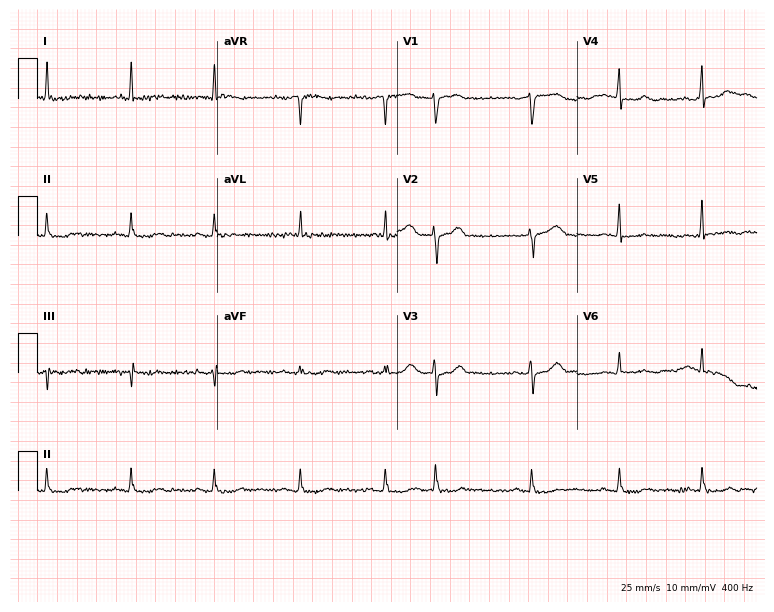
Resting 12-lead electrocardiogram (7.3-second recording at 400 Hz). Patient: a female, 82 years old. None of these six findings is recorded: first-degree AV block, right bundle branch block, left bundle branch block, sinus bradycardia, atrial fibrillation, sinus tachycardia.